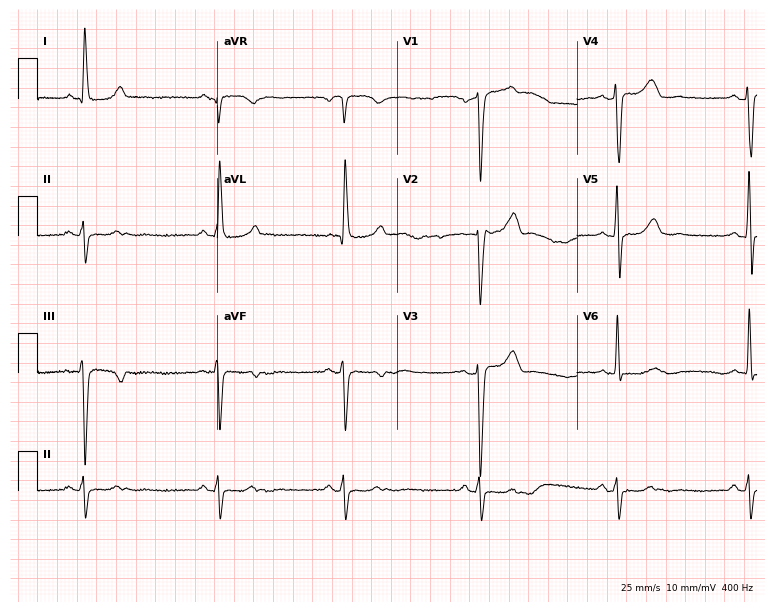
12-lead ECG from a 58-year-old woman. Shows sinus bradycardia (a sinus rate of 50 beats per minute or less).